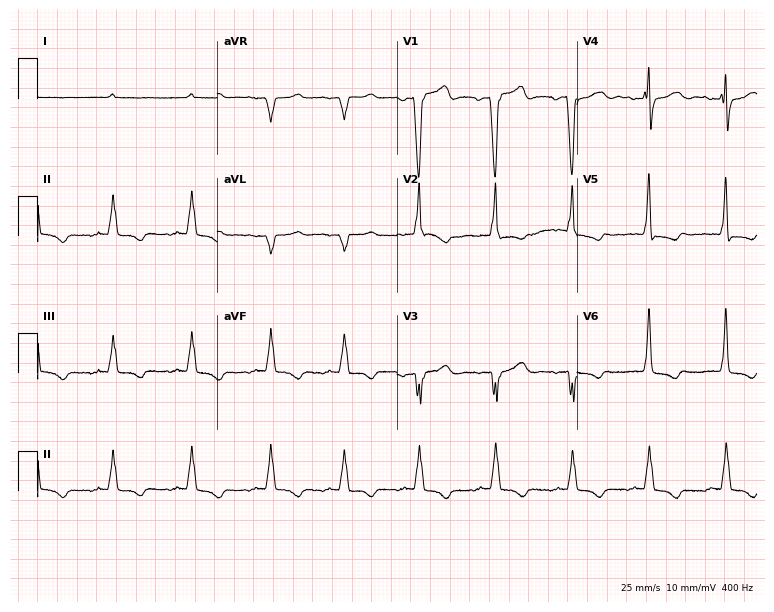
12-lead ECG from a woman, 84 years old (7.3-second recording at 400 Hz). No first-degree AV block, right bundle branch block, left bundle branch block, sinus bradycardia, atrial fibrillation or sinus tachycardia recorded for this tracing. Findings outside these six are not listed.